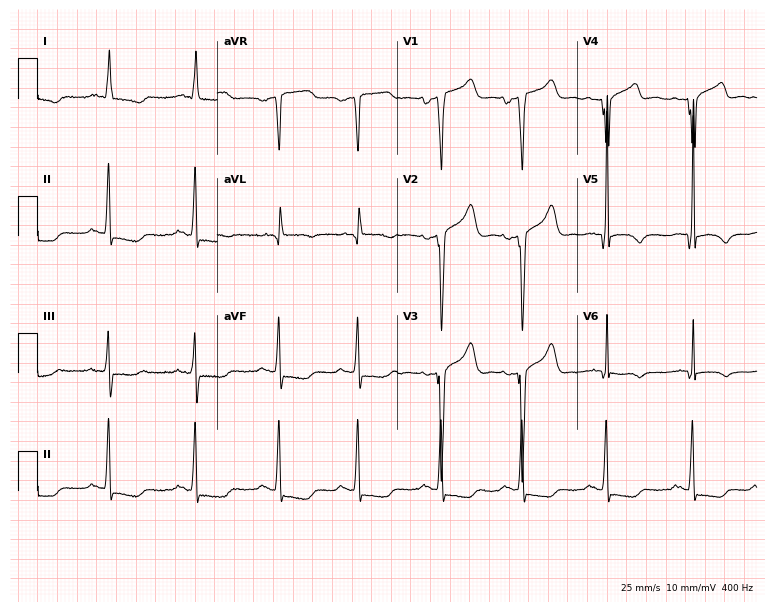
Electrocardiogram, a male patient, 81 years old. Of the six screened findings (first-degree AV block, right bundle branch block, left bundle branch block, sinus bradycardia, atrial fibrillation, sinus tachycardia), none is recorded.